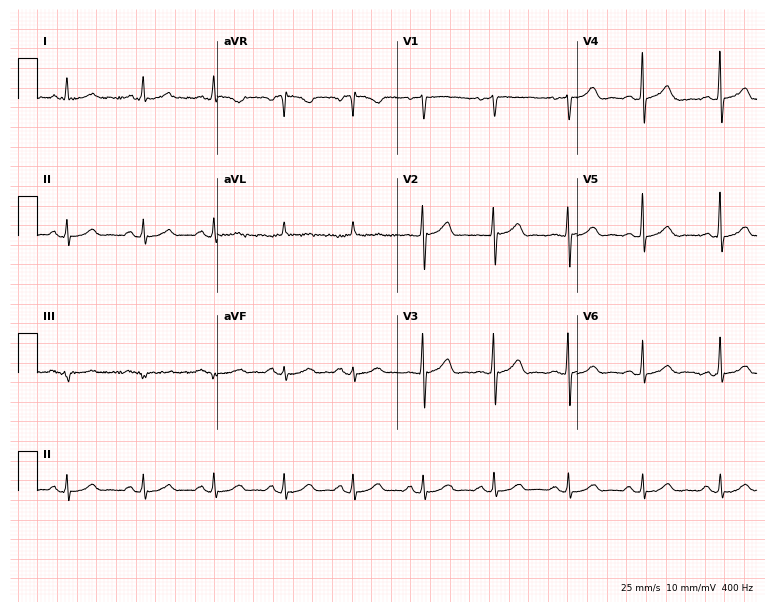
12-lead ECG from a 70-year-old man (7.3-second recording at 400 Hz). Recorded interpretation: within normal limits.